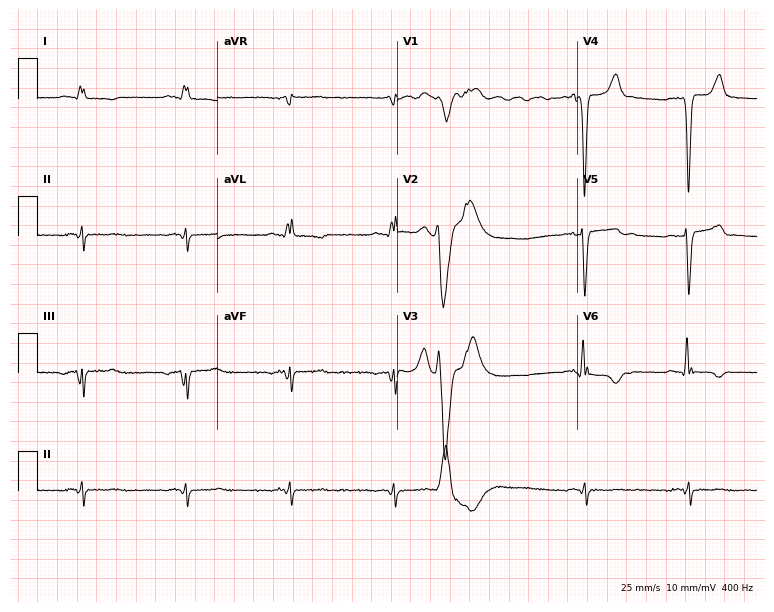
ECG (7.3-second recording at 400 Hz) — a 58-year-old male patient. Screened for six findings — first-degree AV block, right bundle branch block (RBBB), left bundle branch block (LBBB), sinus bradycardia, atrial fibrillation (AF), sinus tachycardia — none is recorded.